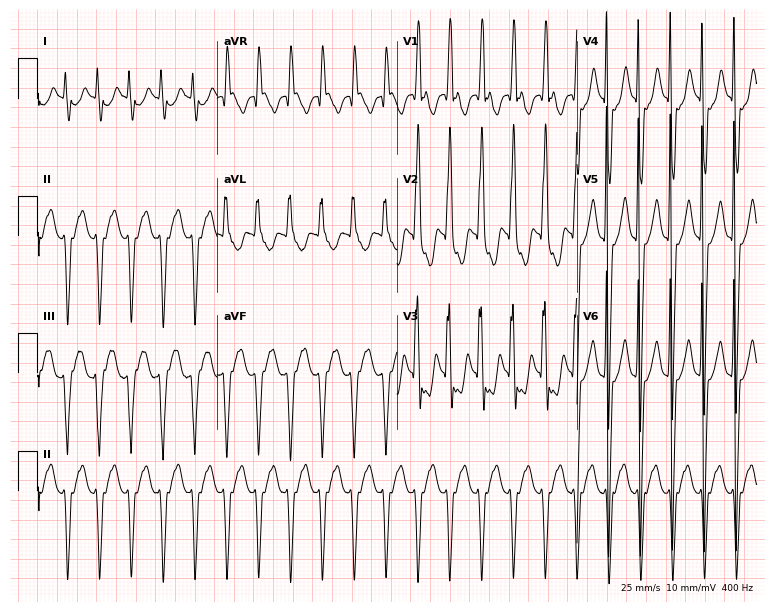
12-lead ECG from a 21-year-old female (7.3-second recording at 400 Hz). Shows sinus tachycardia (a sinus rate of 100 beats per minute or more).